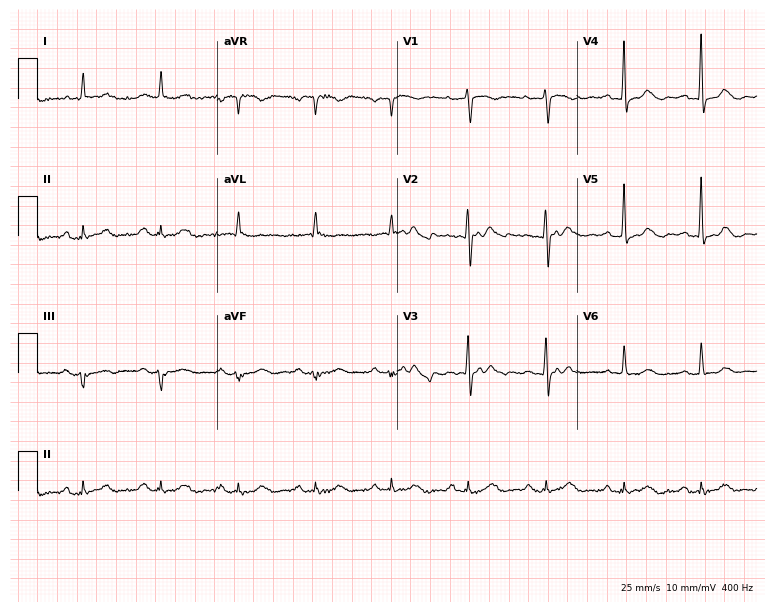
Standard 12-lead ECG recorded from a woman, 79 years old. None of these six findings is recorded: first-degree AV block, right bundle branch block (RBBB), left bundle branch block (LBBB), sinus bradycardia, atrial fibrillation (AF), sinus tachycardia.